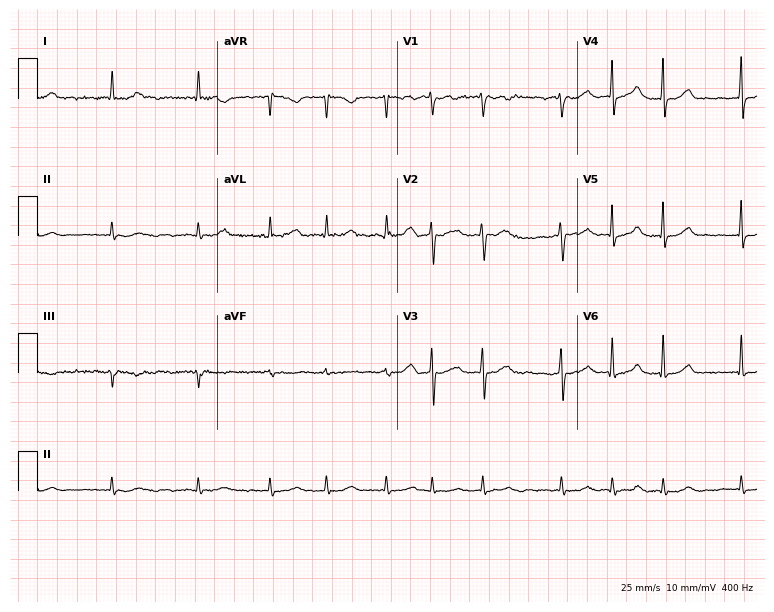
Electrocardiogram, a 65-year-old woman. Interpretation includes atrial fibrillation.